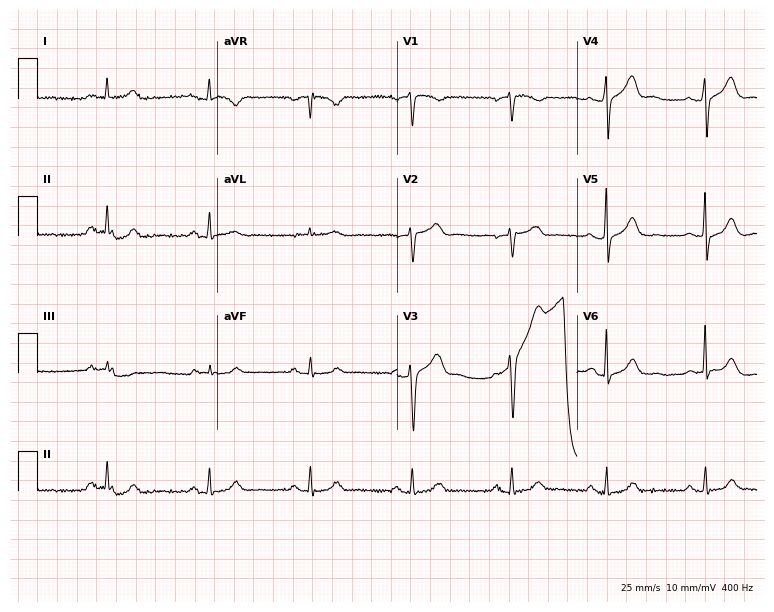
12-lead ECG from a man, 60 years old. Screened for six findings — first-degree AV block, right bundle branch block (RBBB), left bundle branch block (LBBB), sinus bradycardia, atrial fibrillation (AF), sinus tachycardia — none is recorded.